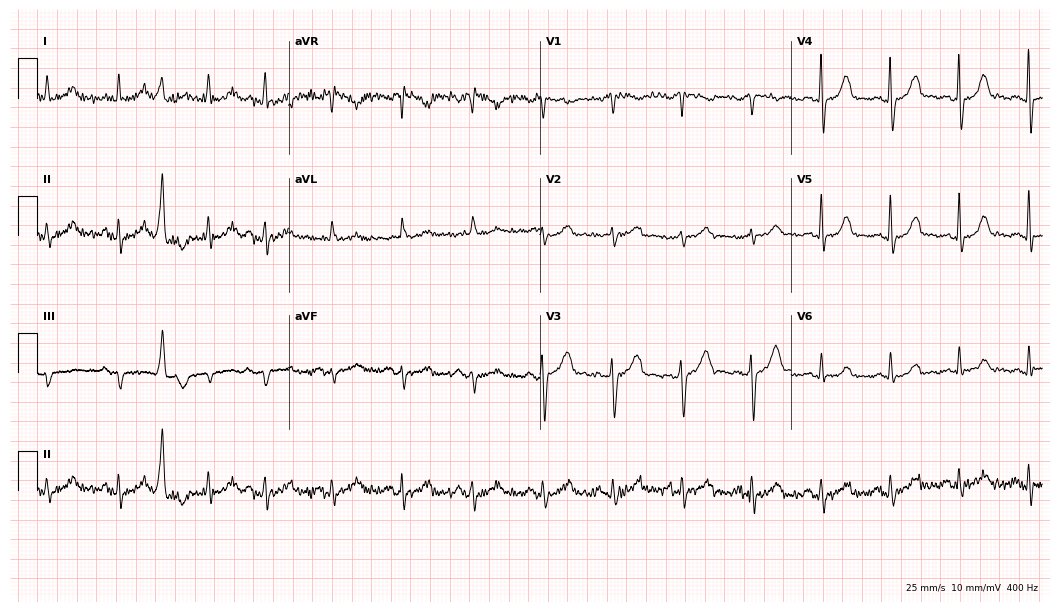
Resting 12-lead electrocardiogram (10.2-second recording at 400 Hz). Patient: a female, 82 years old. None of these six findings is recorded: first-degree AV block, right bundle branch block, left bundle branch block, sinus bradycardia, atrial fibrillation, sinus tachycardia.